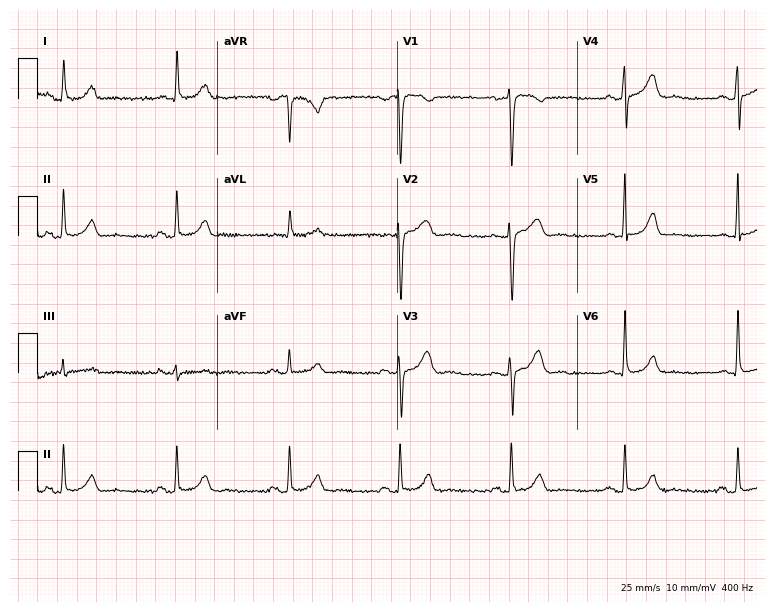
ECG (7.3-second recording at 400 Hz) — a 52-year-old female patient. Labelled as a normal ECG.